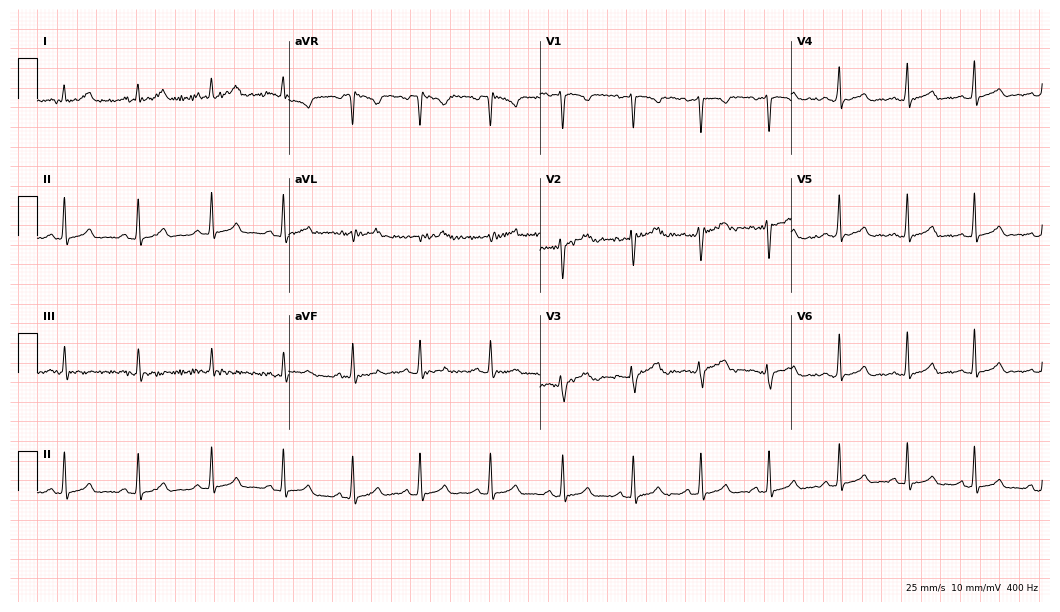
12-lead ECG (10.2-second recording at 400 Hz) from a 19-year-old female patient. Labelled as a normal ECG.